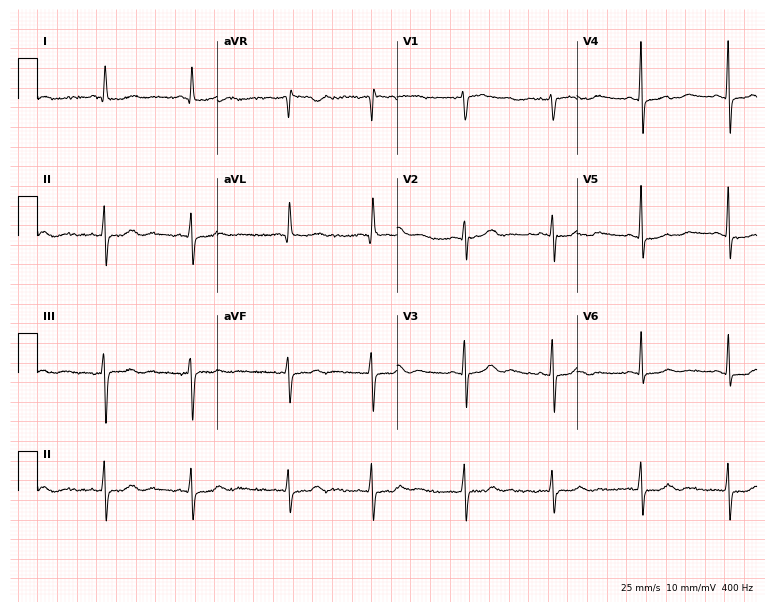
Resting 12-lead electrocardiogram. Patient: an 84-year-old female. None of these six findings is recorded: first-degree AV block, right bundle branch block, left bundle branch block, sinus bradycardia, atrial fibrillation, sinus tachycardia.